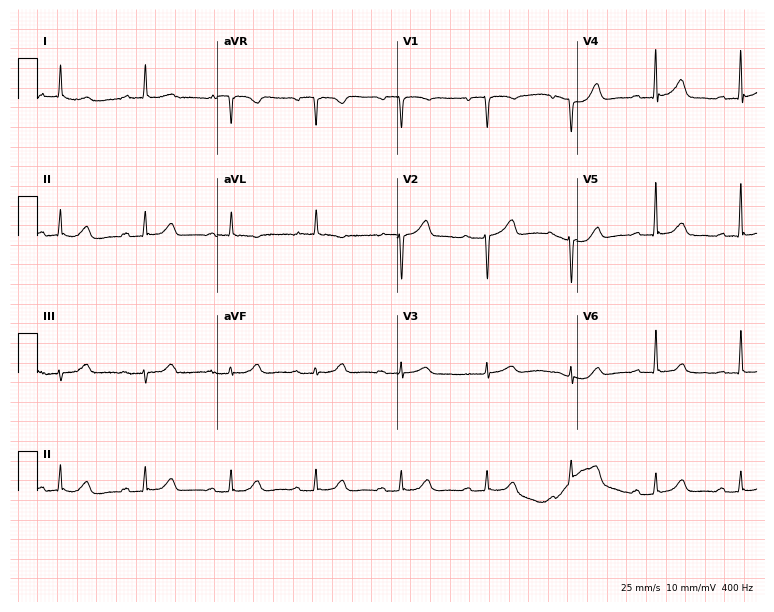
ECG — a woman, 77 years old. Labelled as a normal ECG.